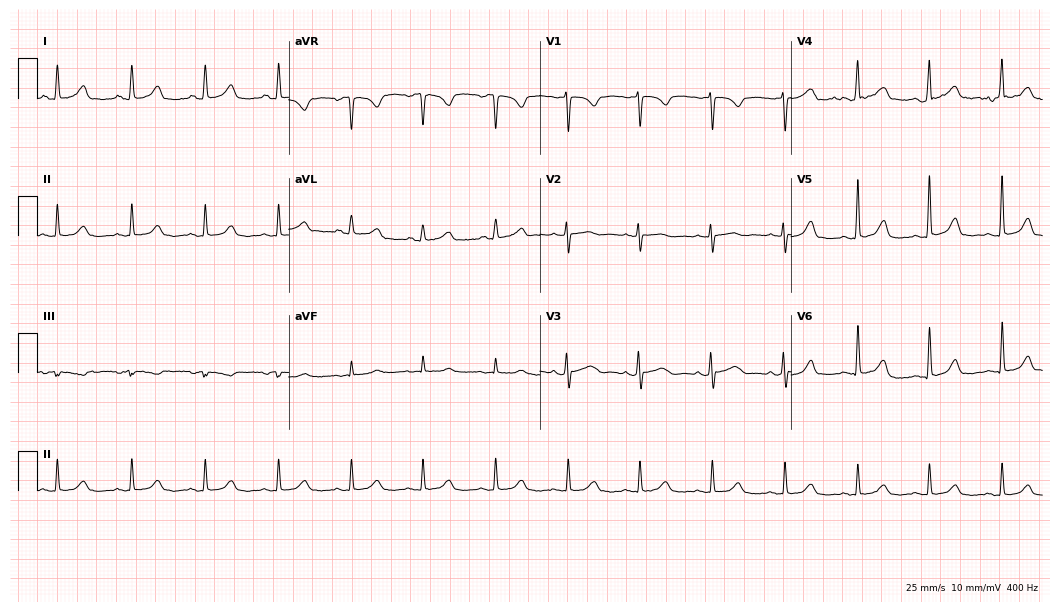
Resting 12-lead electrocardiogram. Patient: a female, 44 years old. Read as a normal ECG.